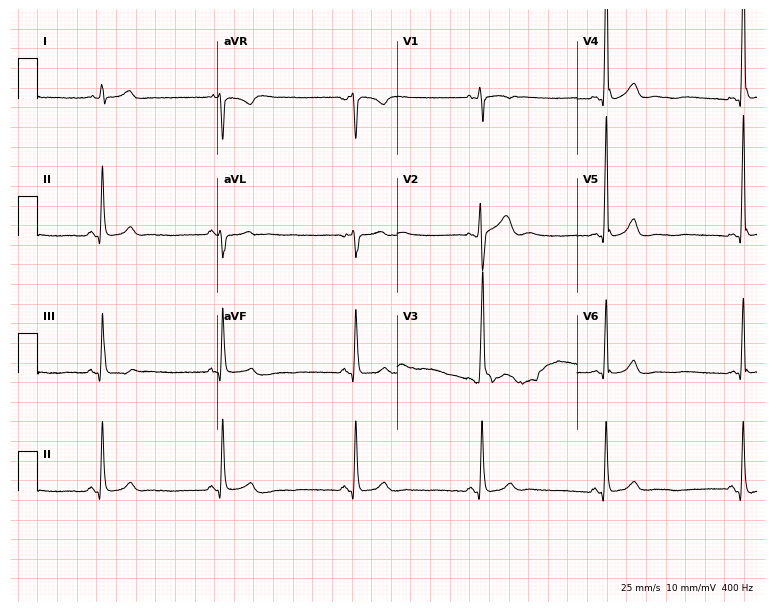
Standard 12-lead ECG recorded from a 21-year-old male patient (7.3-second recording at 400 Hz). None of these six findings is recorded: first-degree AV block, right bundle branch block (RBBB), left bundle branch block (LBBB), sinus bradycardia, atrial fibrillation (AF), sinus tachycardia. Only these six findings were labelled.